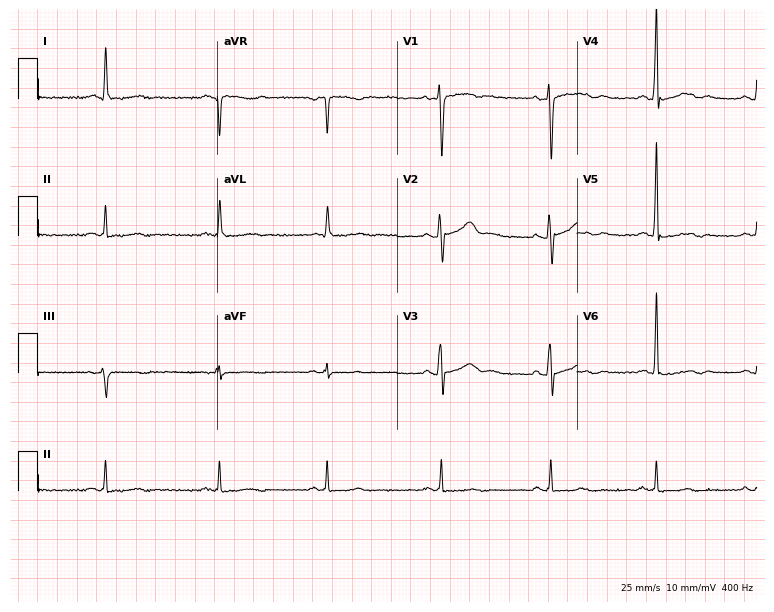
Standard 12-lead ECG recorded from a 63-year-old male (7.3-second recording at 400 Hz). None of these six findings is recorded: first-degree AV block, right bundle branch block, left bundle branch block, sinus bradycardia, atrial fibrillation, sinus tachycardia. Findings outside these six are not listed.